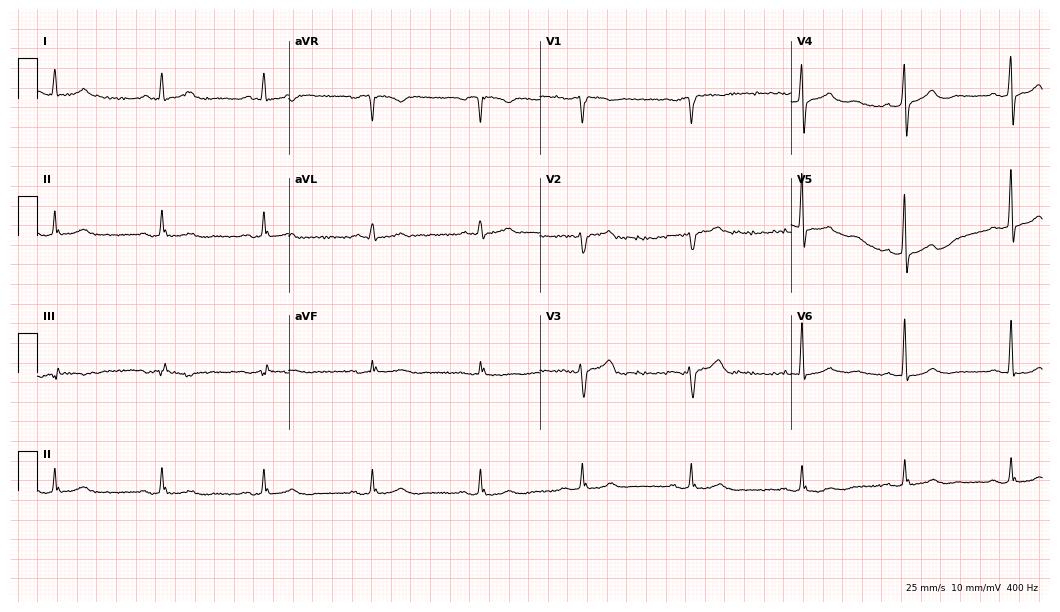
12-lead ECG from a 69-year-old man. Recorded interpretation: within normal limits.